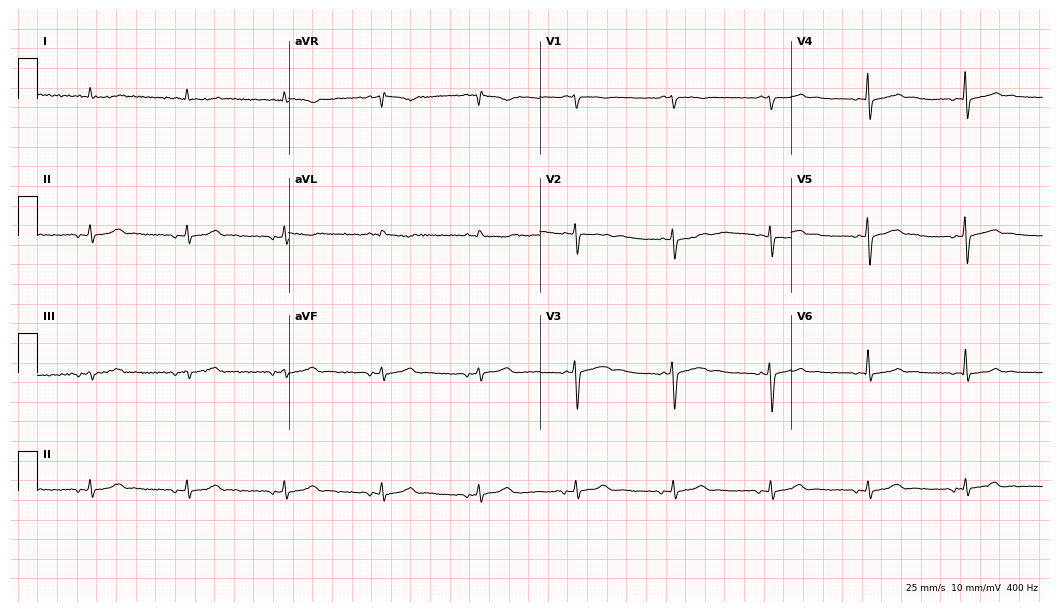
Electrocardiogram, a 76-year-old male. Of the six screened findings (first-degree AV block, right bundle branch block, left bundle branch block, sinus bradycardia, atrial fibrillation, sinus tachycardia), none is recorded.